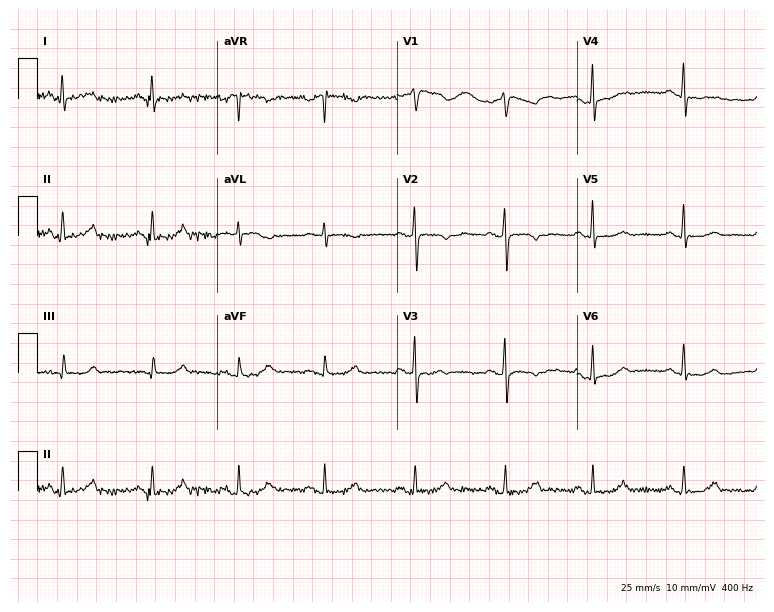
12-lead ECG from a woman, 55 years old. Screened for six findings — first-degree AV block, right bundle branch block, left bundle branch block, sinus bradycardia, atrial fibrillation, sinus tachycardia — none is recorded. Findings outside these six are not listed.